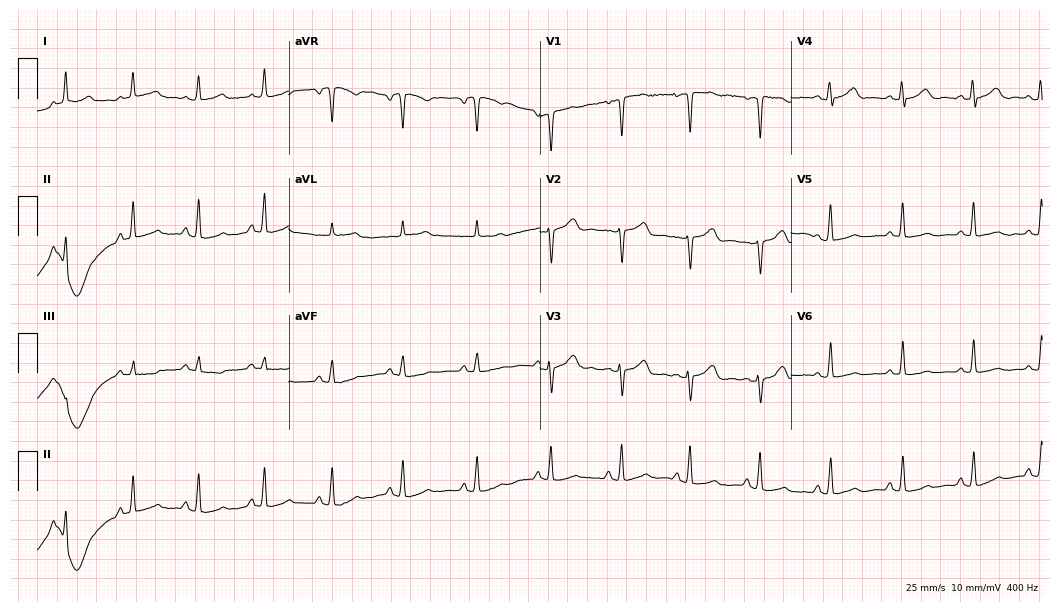
Resting 12-lead electrocardiogram (10.2-second recording at 400 Hz). Patient: a female, 43 years old. Read as a normal ECG.